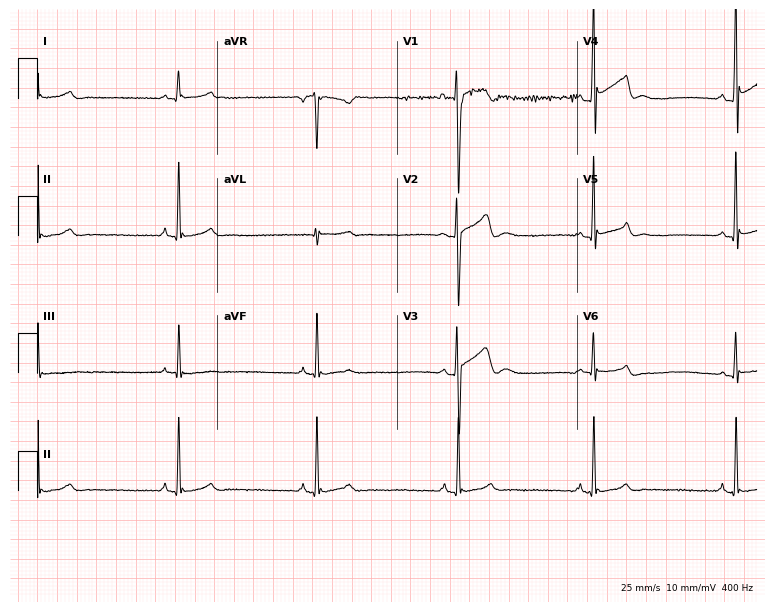
12-lead ECG from a man, 29 years old. Shows sinus bradycardia (a sinus rate of 50 beats per minute or less).